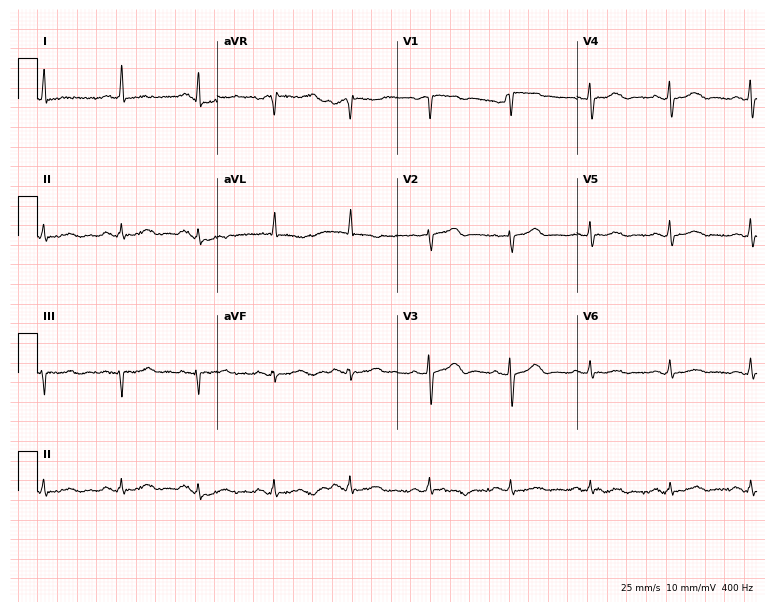
Standard 12-lead ECG recorded from a female, 67 years old. None of these six findings is recorded: first-degree AV block, right bundle branch block, left bundle branch block, sinus bradycardia, atrial fibrillation, sinus tachycardia. Other findings, if any, are not listed.